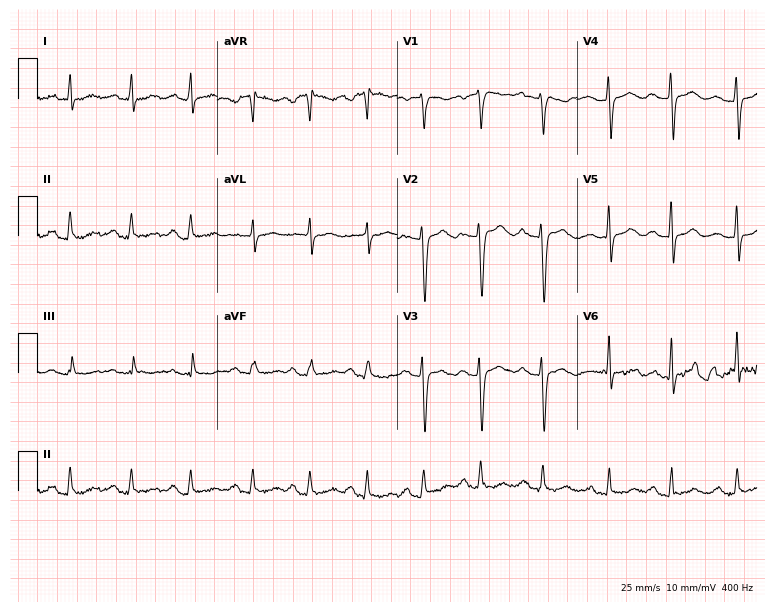
12-lead ECG from a 33-year-old female (7.3-second recording at 400 Hz). No first-degree AV block, right bundle branch block (RBBB), left bundle branch block (LBBB), sinus bradycardia, atrial fibrillation (AF) or sinus tachycardia recorded for this tracing.